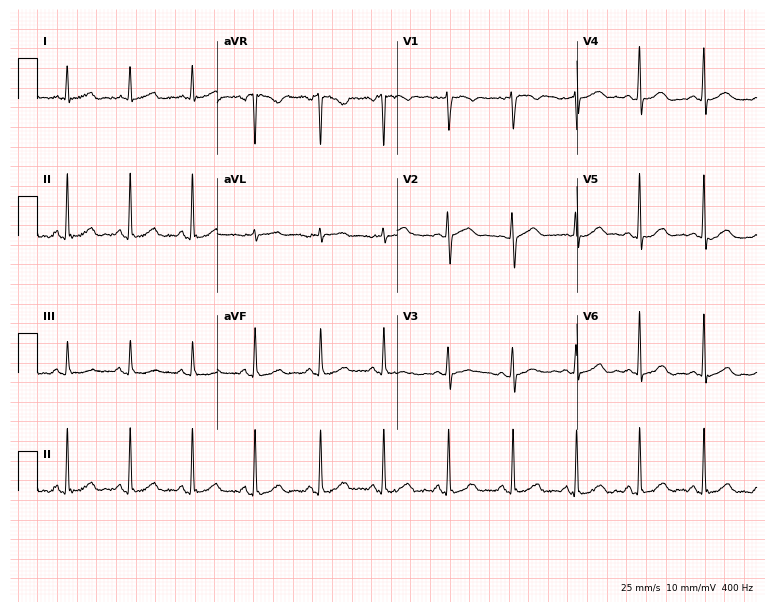
Electrocardiogram, a woman, 50 years old. Of the six screened findings (first-degree AV block, right bundle branch block, left bundle branch block, sinus bradycardia, atrial fibrillation, sinus tachycardia), none is recorded. Findings outside these six are not listed.